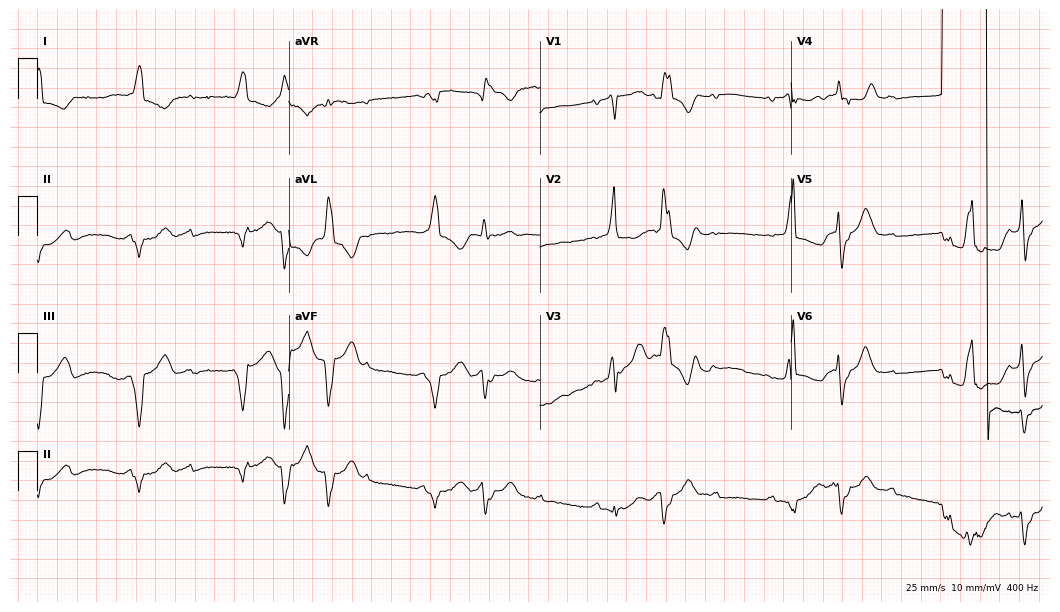
12-lead ECG (10.2-second recording at 400 Hz) from a female patient, 83 years old. Screened for six findings — first-degree AV block, right bundle branch block, left bundle branch block, sinus bradycardia, atrial fibrillation, sinus tachycardia — none is recorded.